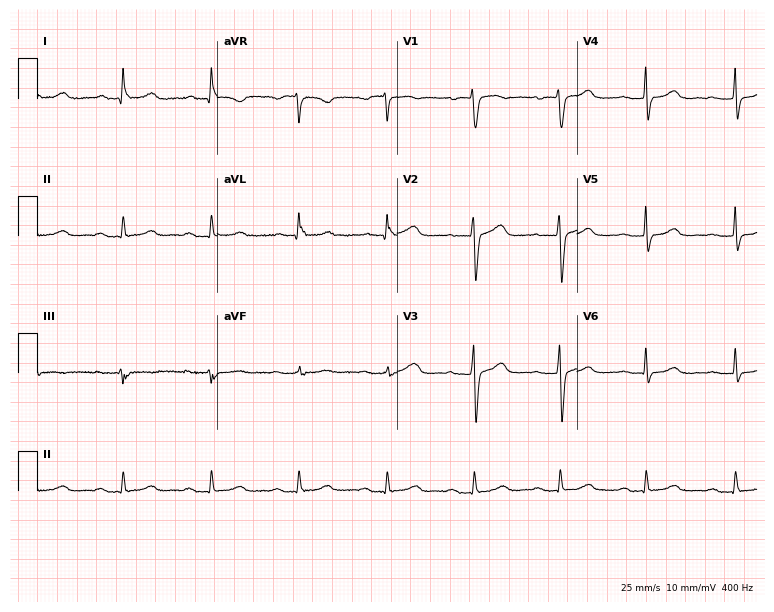
ECG (7.3-second recording at 400 Hz) — a female, 43 years old. Findings include first-degree AV block.